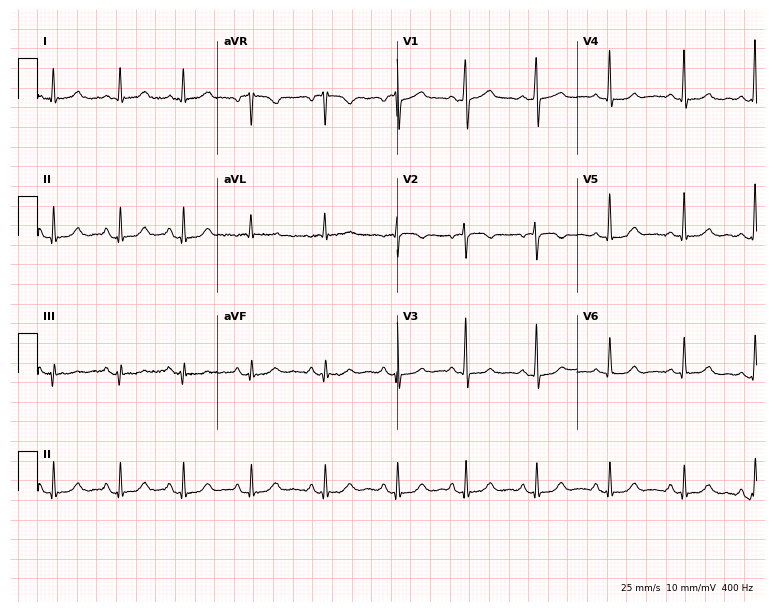
ECG — a female, 51 years old. Labelled as a normal ECG.